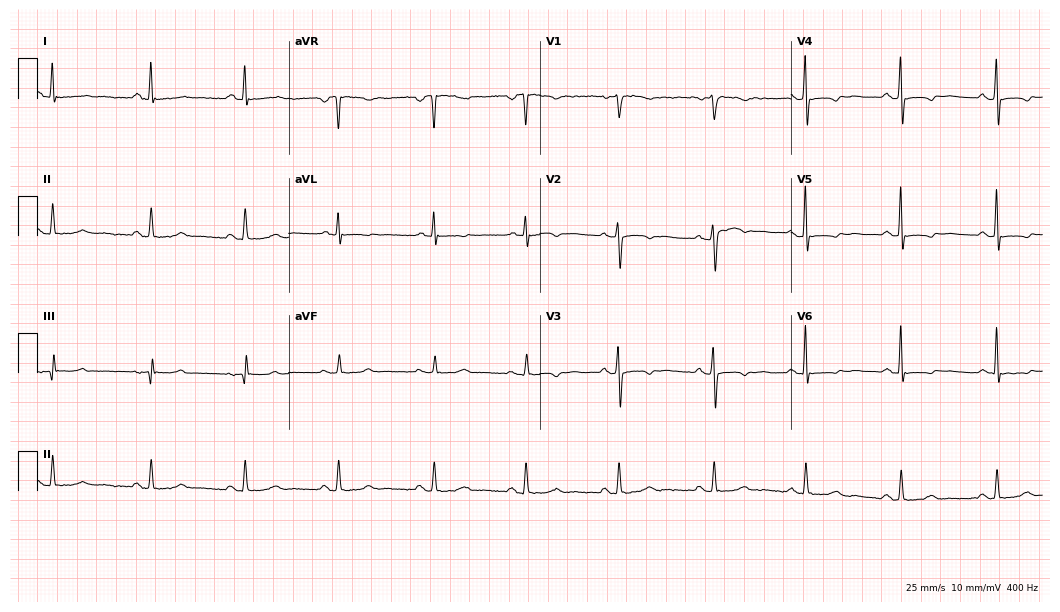
Standard 12-lead ECG recorded from a female, 61 years old (10.2-second recording at 400 Hz). None of these six findings is recorded: first-degree AV block, right bundle branch block, left bundle branch block, sinus bradycardia, atrial fibrillation, sinus tachycardia. Findings outside these six are not listed.